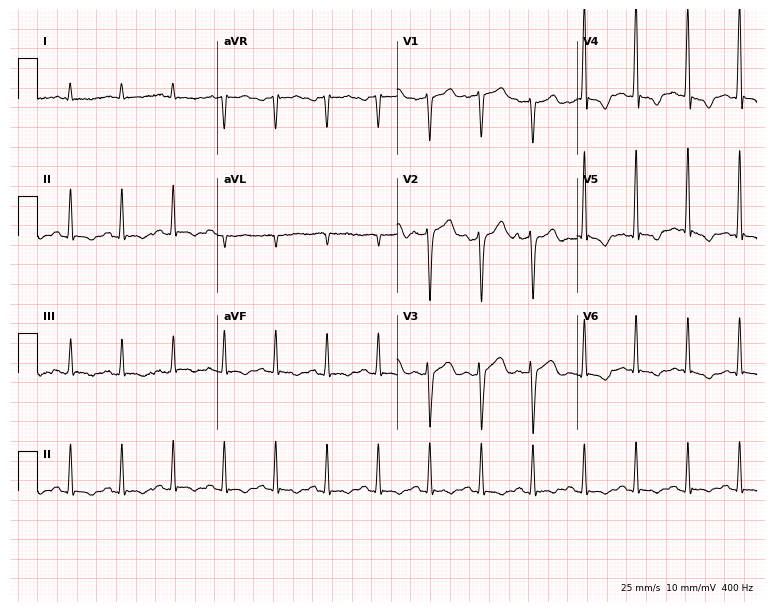
12-lead ECG (7.3-second recording at 400 Hz) from a 36-year-old male patient. Findings include sinus tachycardia (a sinus rate of 100 beats per minute or more).